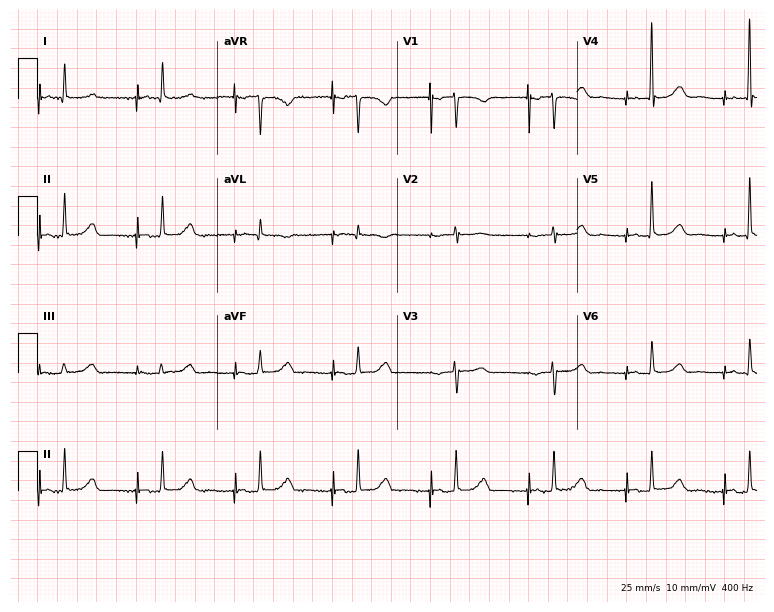
Electrocardiogram, a 73-year-old woman. Of the six screened findings (first-degree AV block, right bundle branch block, left bundle branch block, sinus bradycardia, atrial fibrillation, sinus tachycardia), none is recorded.